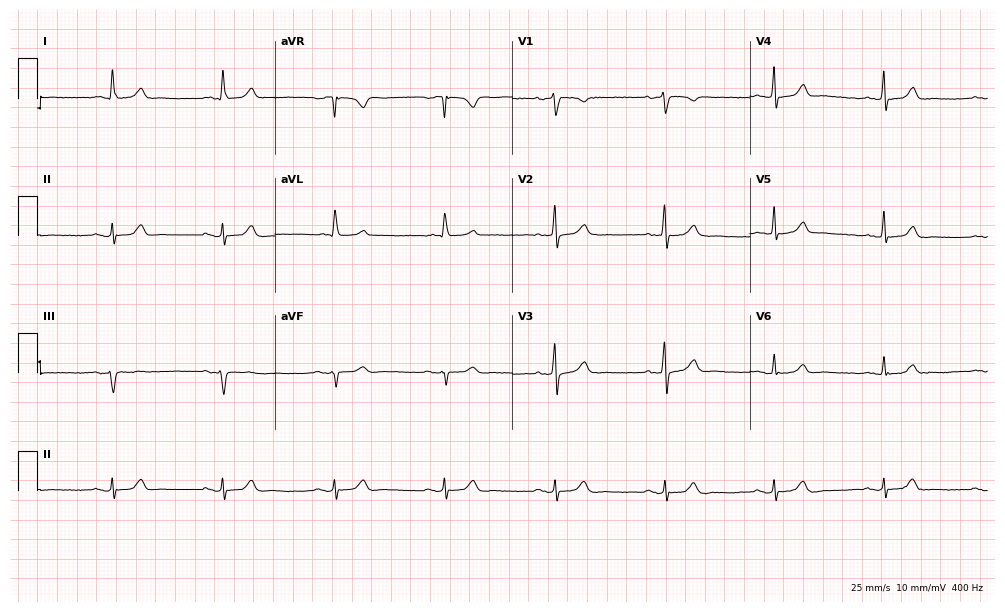
ECG — a 78-year-old female. Labelled as a normal ECG.